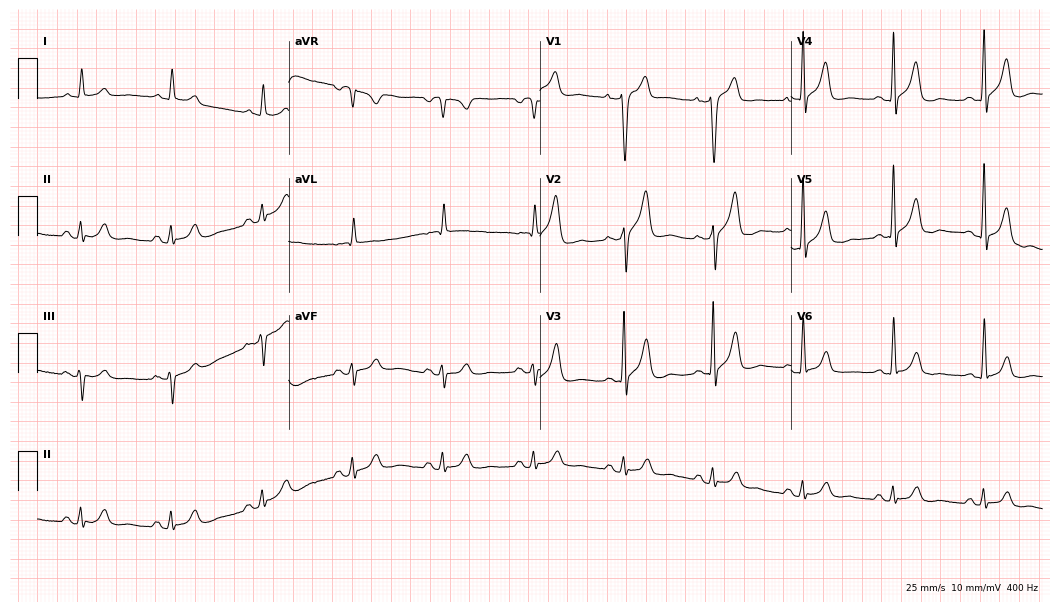
12-lead ECG from an 84-year-old woman (10.2-second recording at 400 Hz). No first-degree AV block, right bundle branch block (RBBB), left bundle branch block (LBBB), sinus bradycardia, atrial fibrillation (AF) or sinus tachycardia recorded for this tracing.